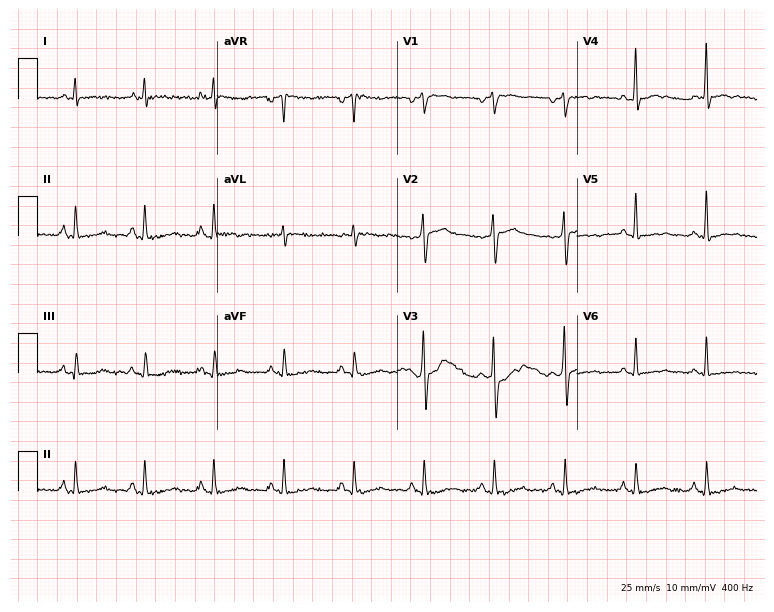
Electrocardiogram, a 59-year-old male patient. Of the six screened findings (first-degree AV block, right bundle branch block (RBBB), left bundle branch block (LBBB), sinus bradycardia, atrial fibrillation (AF), sinus tachycardia), none is recorded. Only these six findings were labelled.